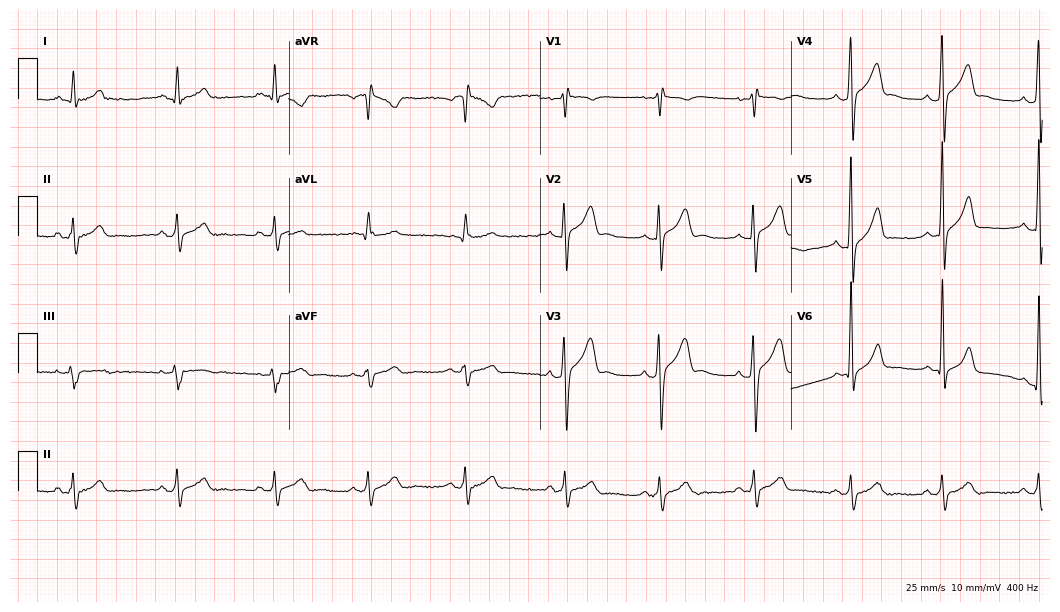
Resting 12-lead electrocardiogram. Patient: a male, 21 years old. Read as a normal ECG.